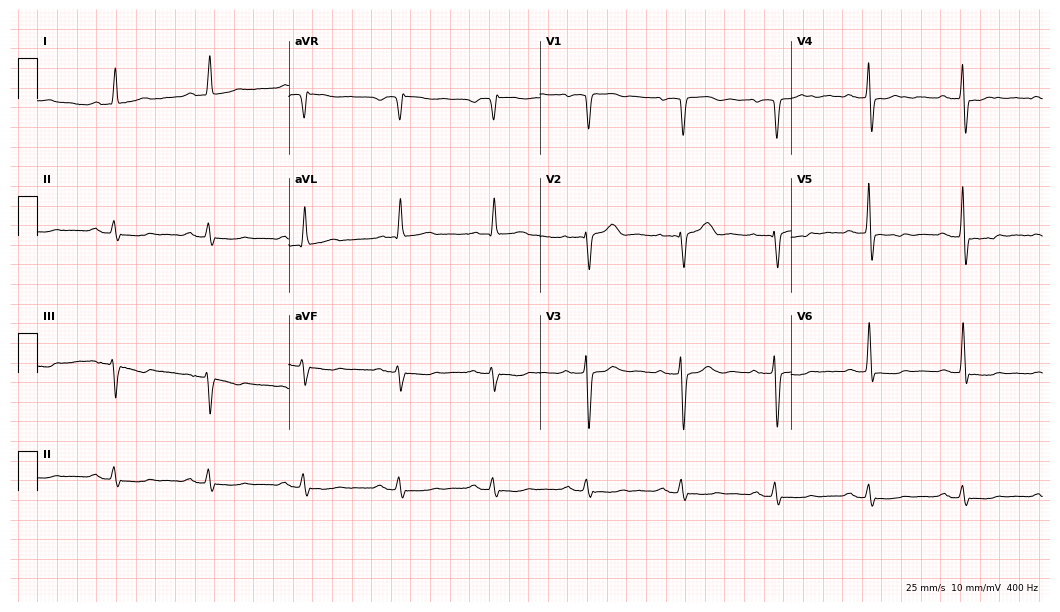
Electrocardiogram, a 65-year-old male patient. Of the six screened findings (first-degree AV block, right bundle branch block, left bundle branch block, sinus bradycardia, atrial fibrillation, sinus tachycardia), none is recorded. Findings outside these six are not listed.